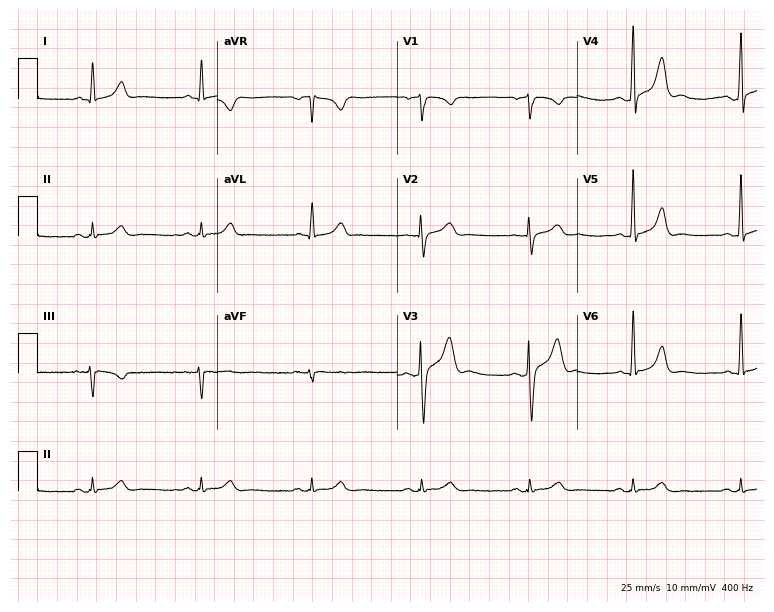
Standard 12-lead ECG recorded from a 41-year-old man (7.3-second recording at 400 Hz). Read as a normal ECG.